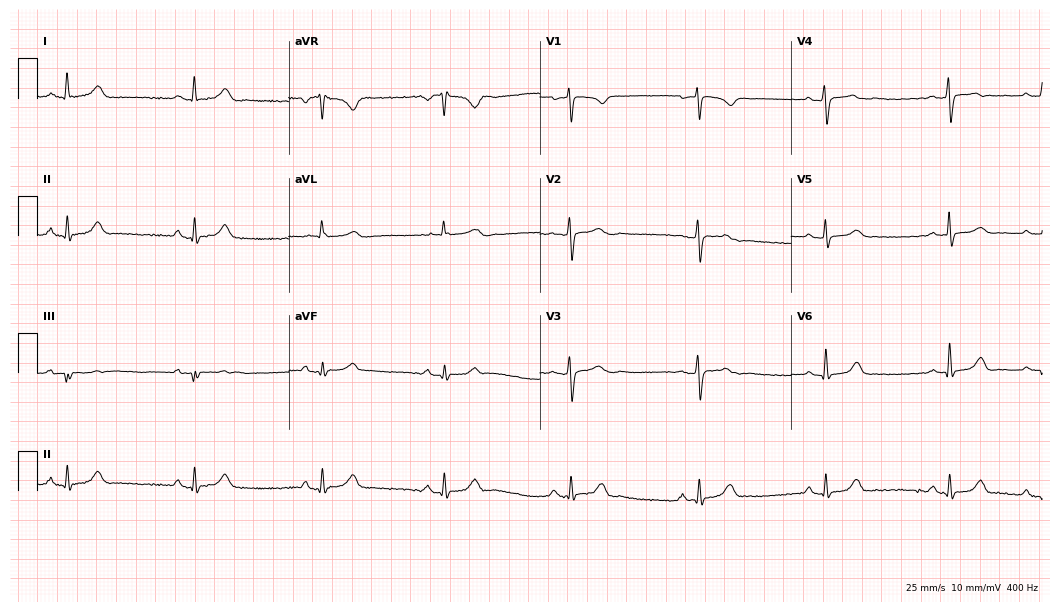
ECG (10.2-second recording at 400 Hz) — a female patient, 29 years old. Screened for six findings — first-degree AV block, right bundle branch block, left bundle branch block, sinus bradycardia, atrial fibrillation, sinus tachycardia — none is recorded. Only these six findings were labelled.